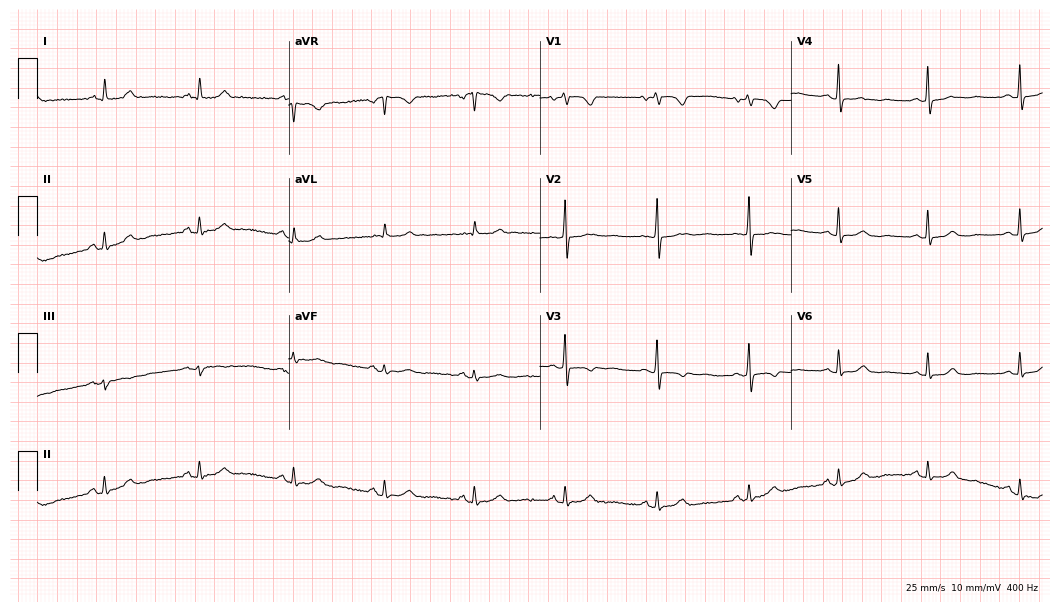
12-lead ECG (10.2-second recording at 400 Hz) from a 78-year-old woman. Labelled as a normal ECG.